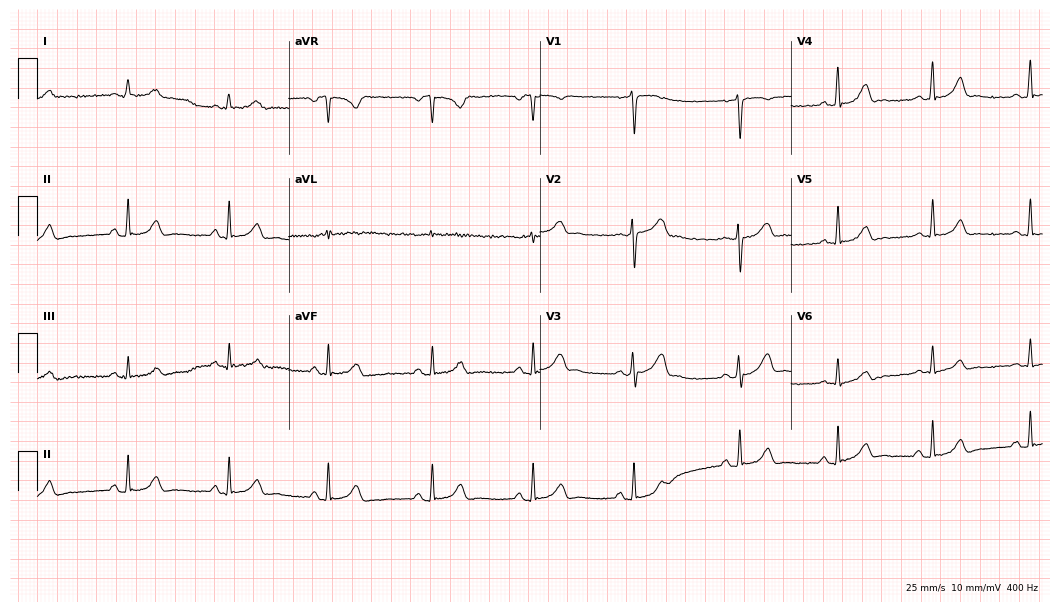
ECG — a 36-year-old woman. Labelled as a normal ECG.